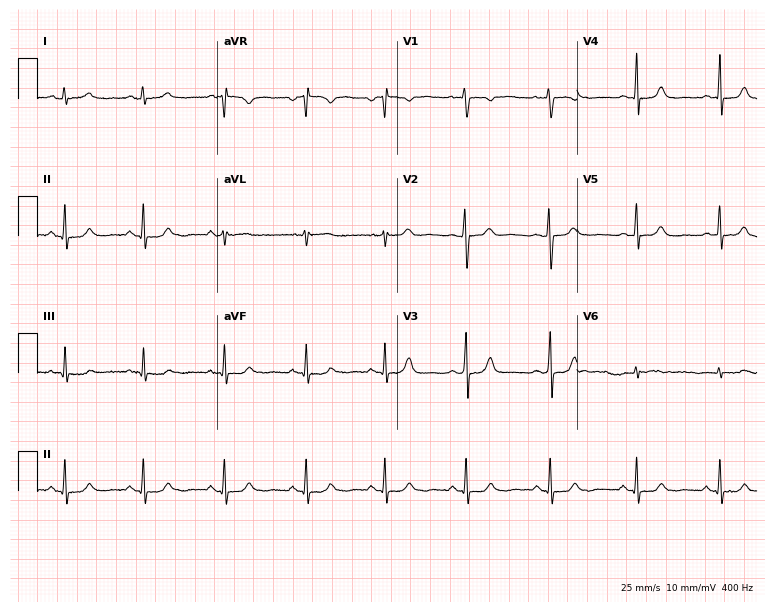
Resting 12-lead electrocardiogram (7.3-second recording at 400 Hz). Patient: a woman, 31 years old. Read as a normal ECG.